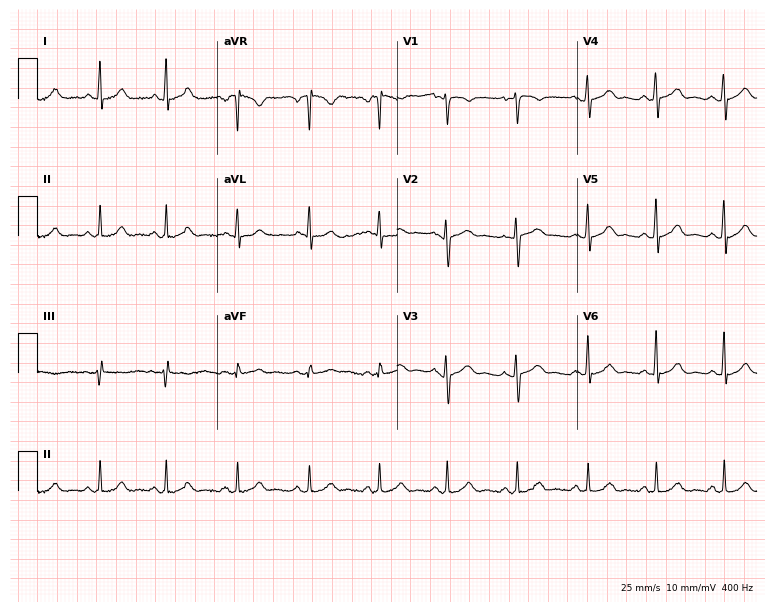
Standard 12-lead ECG recorded from a 26-year-old female patient (7.3-second recording at 400 Hz). Read as a normal ECG.